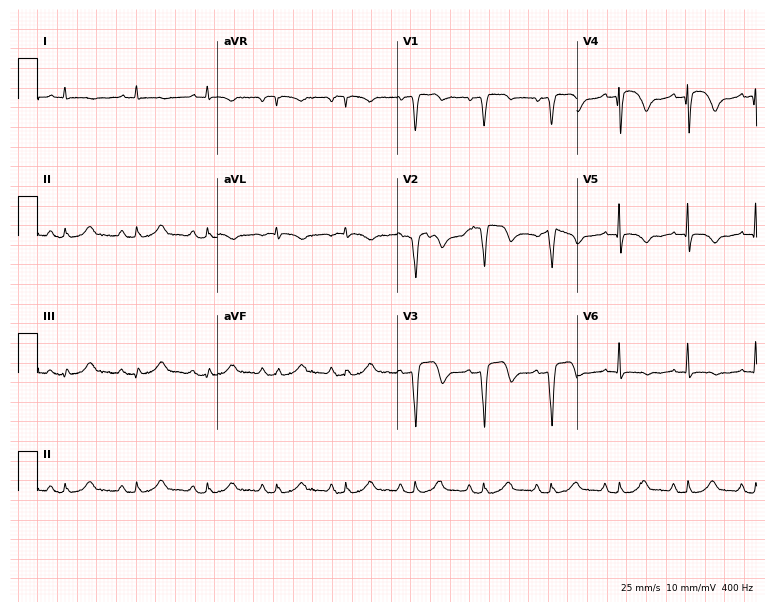
12-lead ECG (7.3-second recording at 400 Hz) from a male patient, 79 years old. Screened for six findings — first-degree AV block, right bundle branch block, left bundle branch block, sinus bradycardia, atrial fibrillation, sinus tachycardia — none is recorded. Other findings, if any, are not listed.